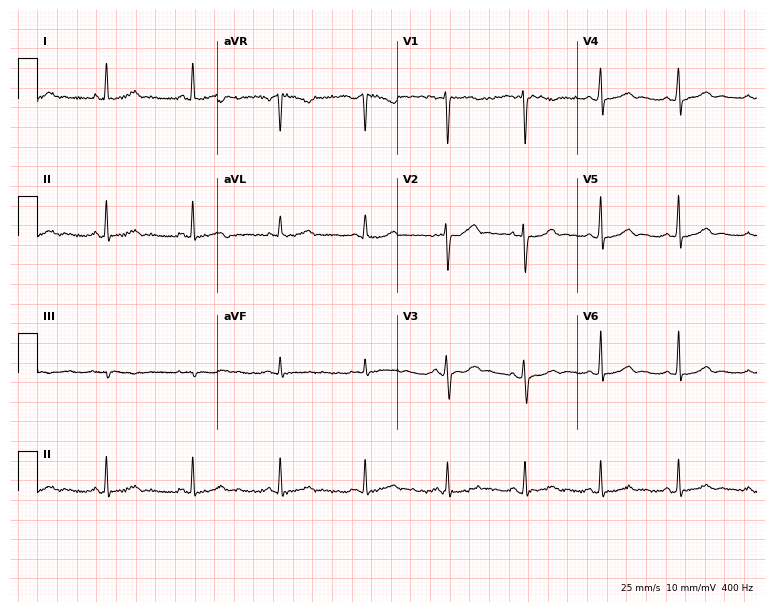
Standard 12-lead ECG recorded from a 37-year-old female patient. Read as a normal ECG.